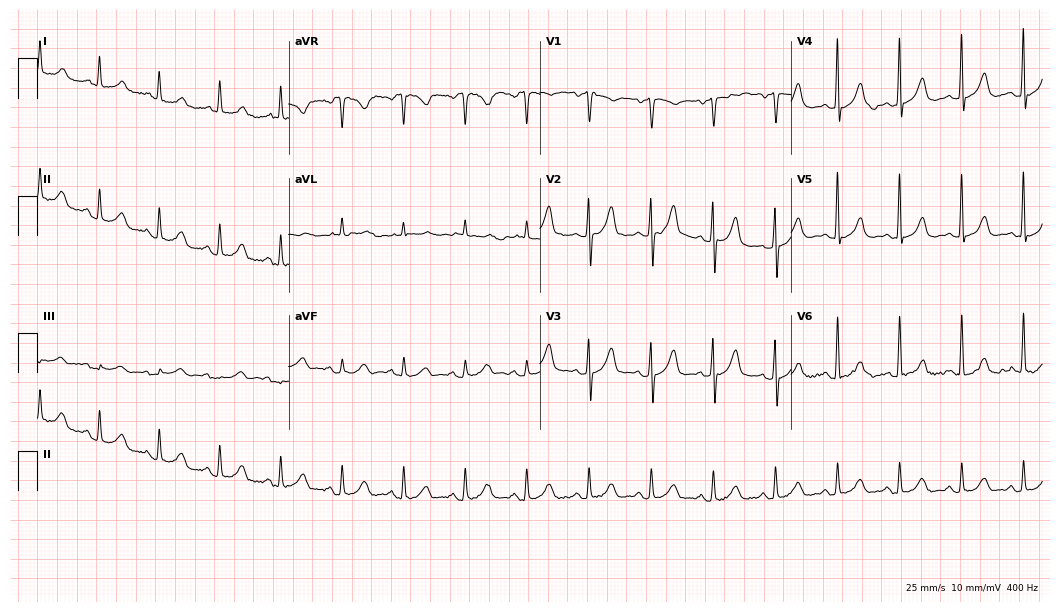
Resting 12-lead electrocardiogram. Patient: a male, 53 years old. Read as a normal ECG.